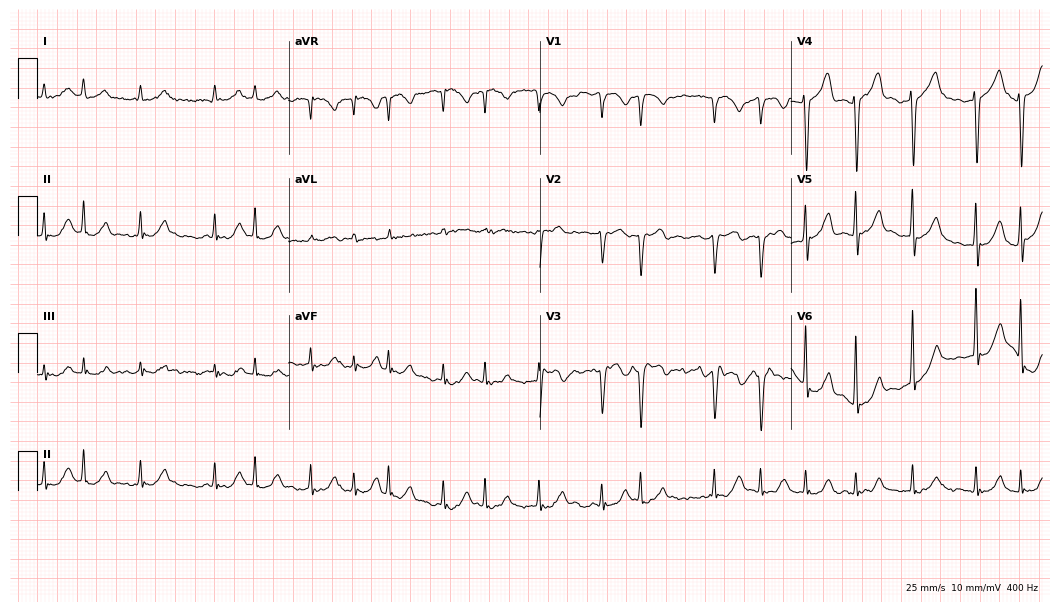
Resting 12-lead electrocardiogram. Patient: an 84-year-old woman. The tracing shows atrial fibrillation.